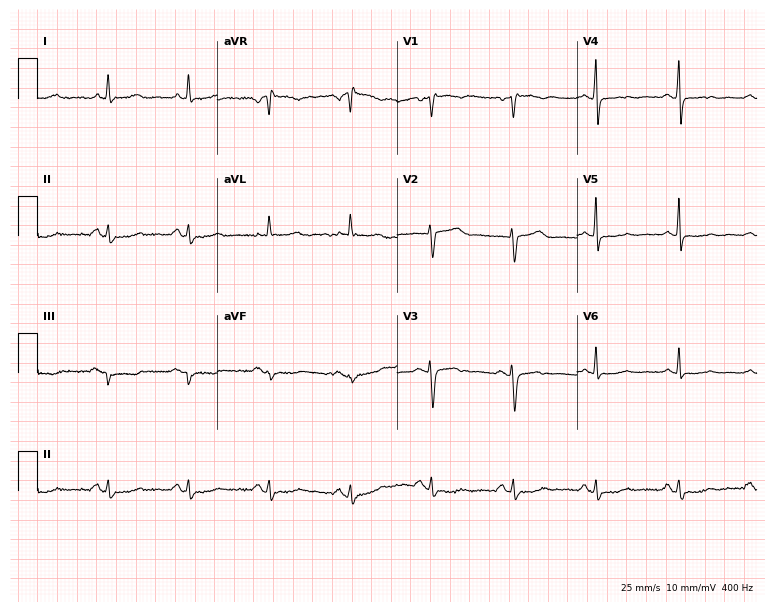
12-lead ECG from a 66-year-old female patient. No first-degree AV block, right bundle branch block (RBBB), left bundle branch block (LBBB), sinus bradycardia, atrial fibrillation (AF) or sinus tachycardia recorded for this tracing. Only these six findings were labelled.